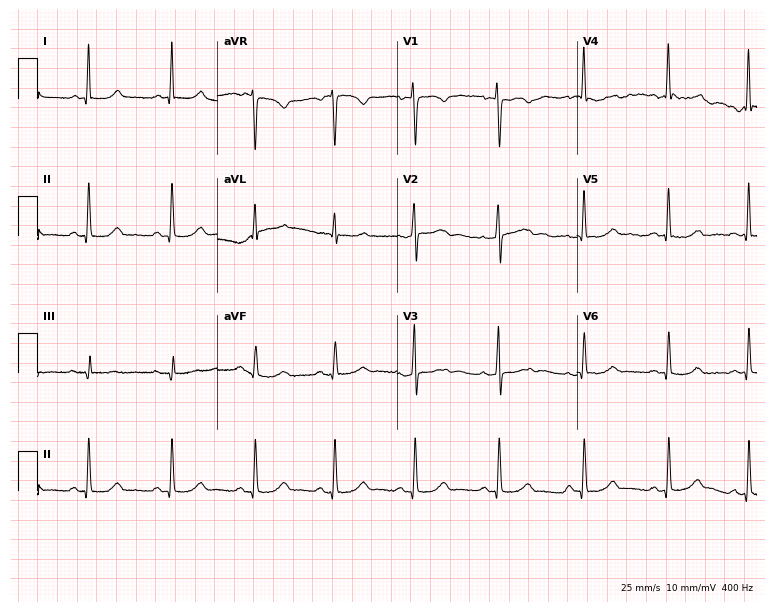
Standard 12-lead ECG recorded from a 44-year-old female patient. Read as a normal ECG.